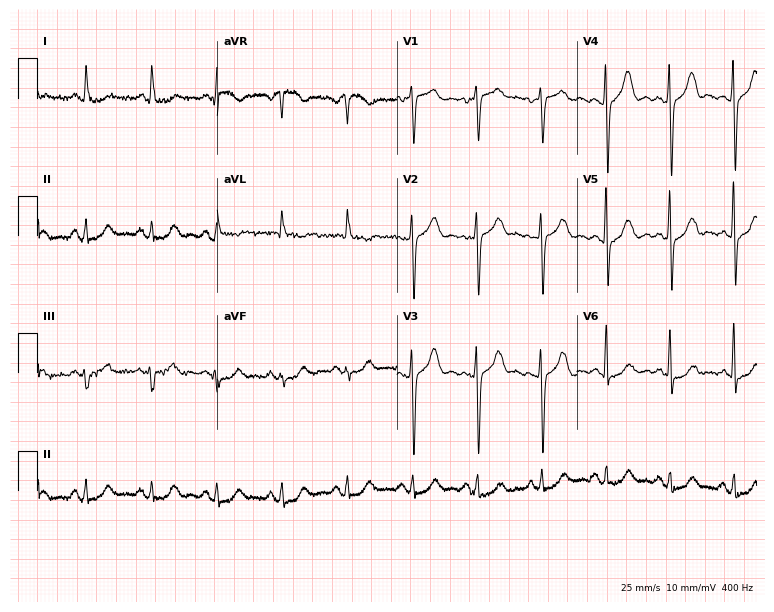
Resting 12-lead electrocardiogram (7.3-second recording at 400 Hz). Patient: a female, 75 years old. None of these six findings is recorded: first-degree AV block, right bundle branch block, left bundle branch block, sinus bradycardia, atrial fibrillation, sinus tachycardia. Findings outside these six are not listed.